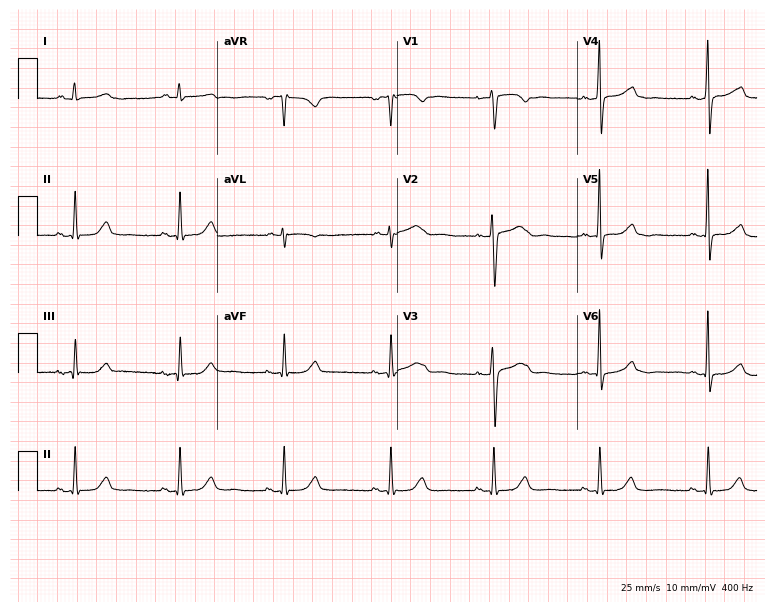
12-lead ECG (7.3-second recording at 400 Hz) from a 47-year-old female. Labelled as a normal ECG.